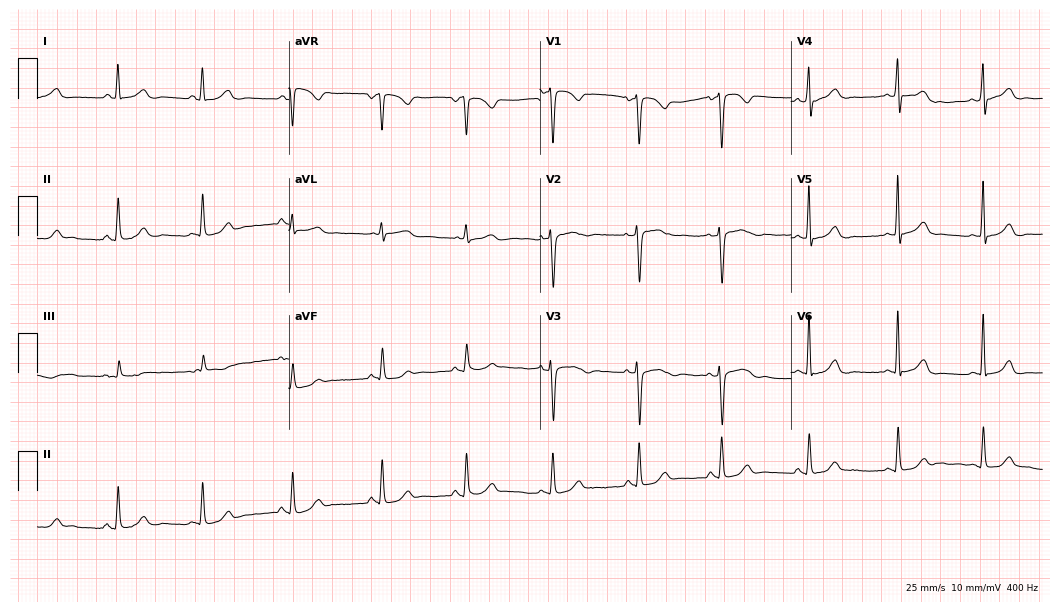
Standard 12-lead ECG recorded from a 42-year-old female patient. Read as a normal ECG.